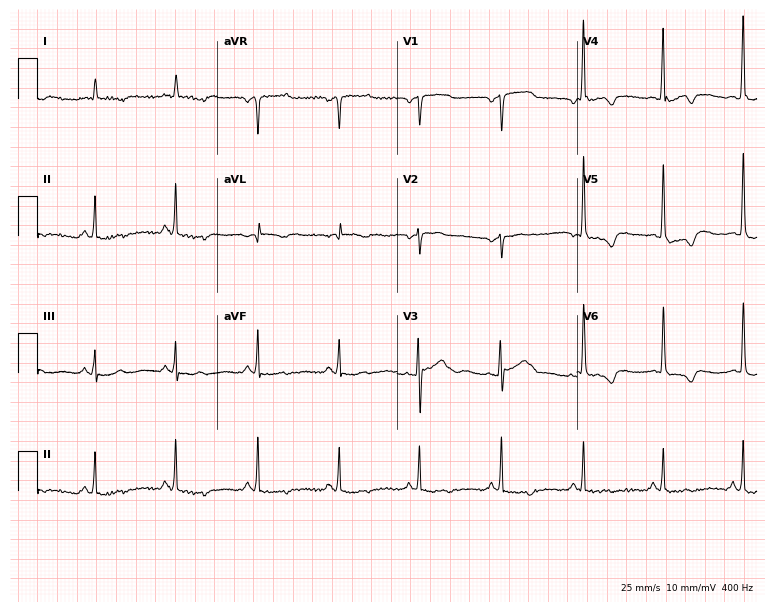
12-lead ECG (7.3-second recording at 400 Hz) from a woman, 82 years old. Screened for six findings — first-degree AV block, right bundle branch block, left bundle branch block, sinus bradycardia, atrial fibrillation, sinus tachycardia — none is recorded. Findings outside these six are not listed.